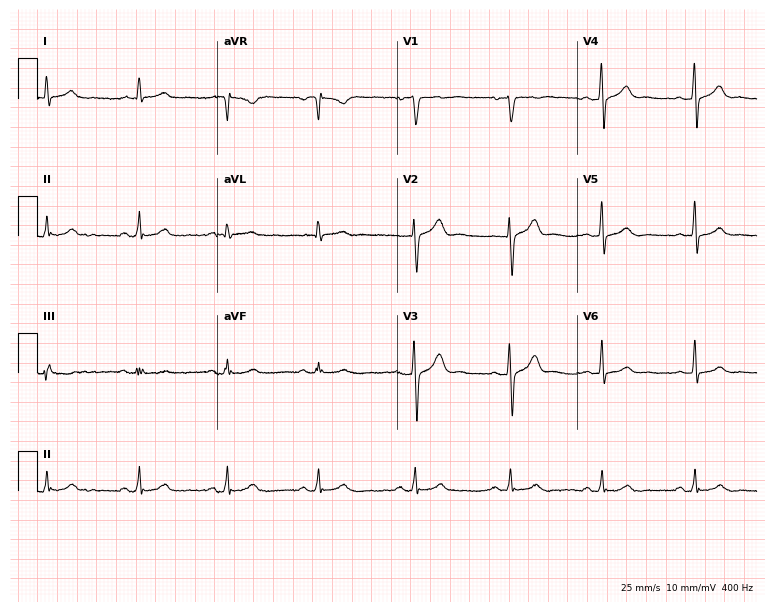
12-lead ECG from a male patient, 46 years old. Labelled as a normal ECG.